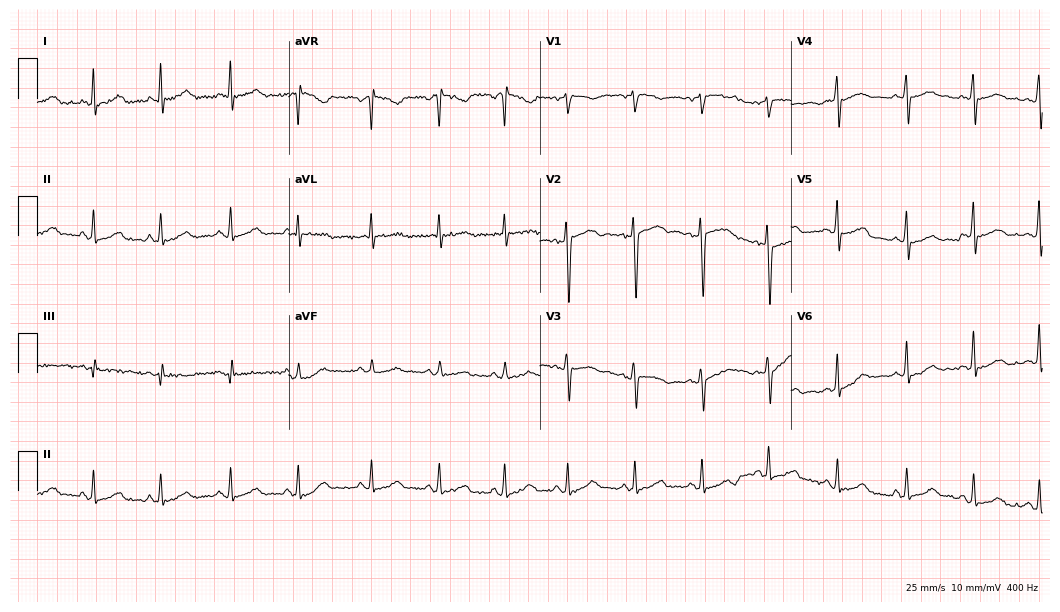
Resting 12-lead electrocardiogram (10.2-second recording at 400 Hz). Patient: a 22-year-old male. Read as a normal ECG.